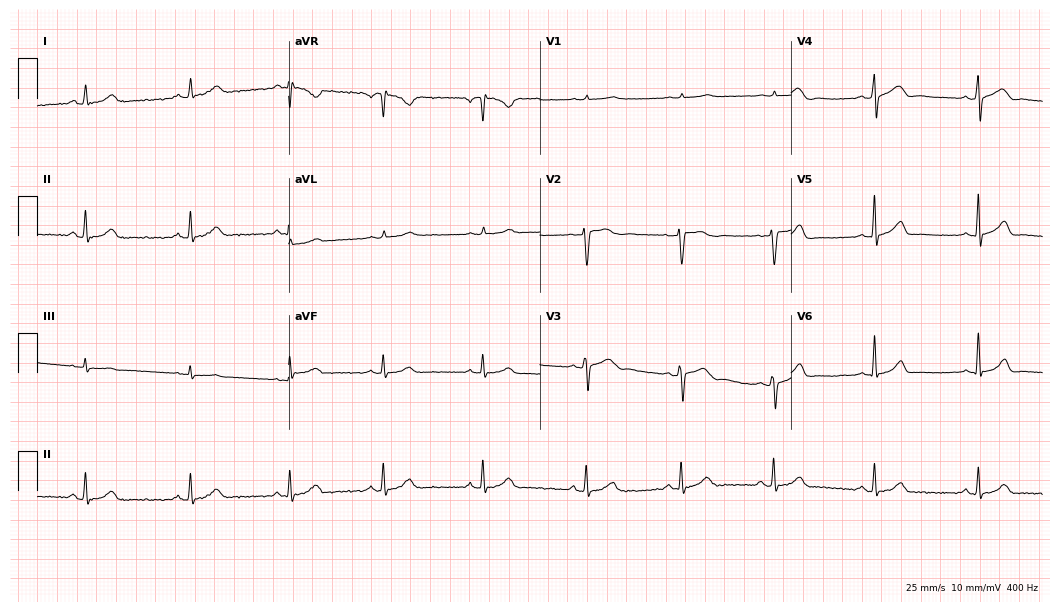
12-lead ECG from a 42-year-old female patient. Labelled as a normal ECG.